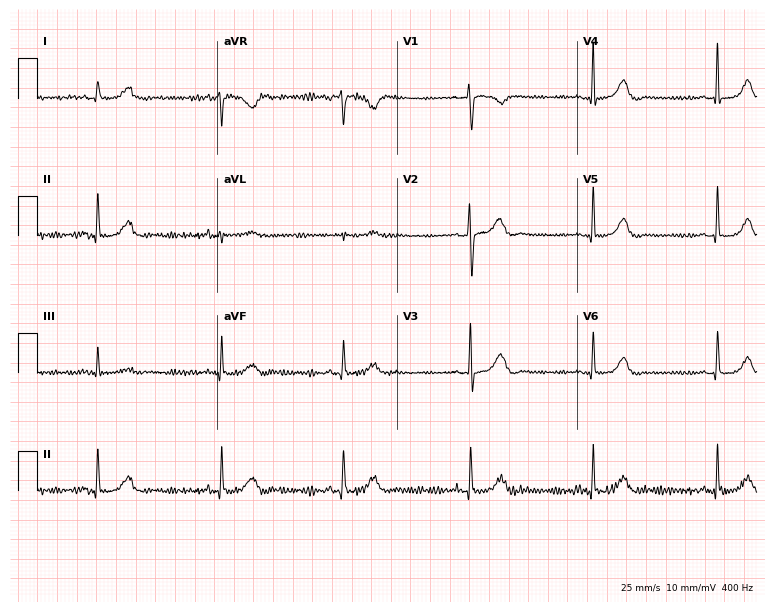
Electrocardiogram (7.3-second recording at 400 Hz), a 44-year-old female. Of the six screened findings (first-degree AV block, right bundle branch block, left bundle branch block, sinus bradycardia, atrial fibrillation, sinus tachycardia), none is recorded.